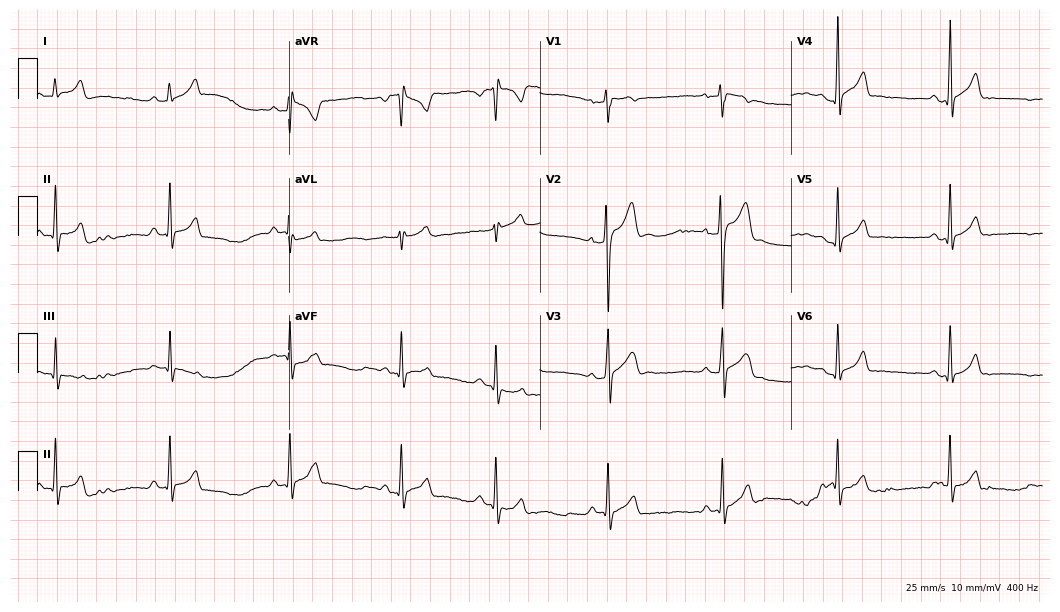
12-lead ECG (10.2-second recording at 400 Hz) from a man, 19 years old. Screened for six findings — first-degree AV block, right bundle branch block (RBBB), left bundle branch block (LBBB), sinus bradycardia, atrial fibrillation (AF), sinus tachycardia — none is recorded.